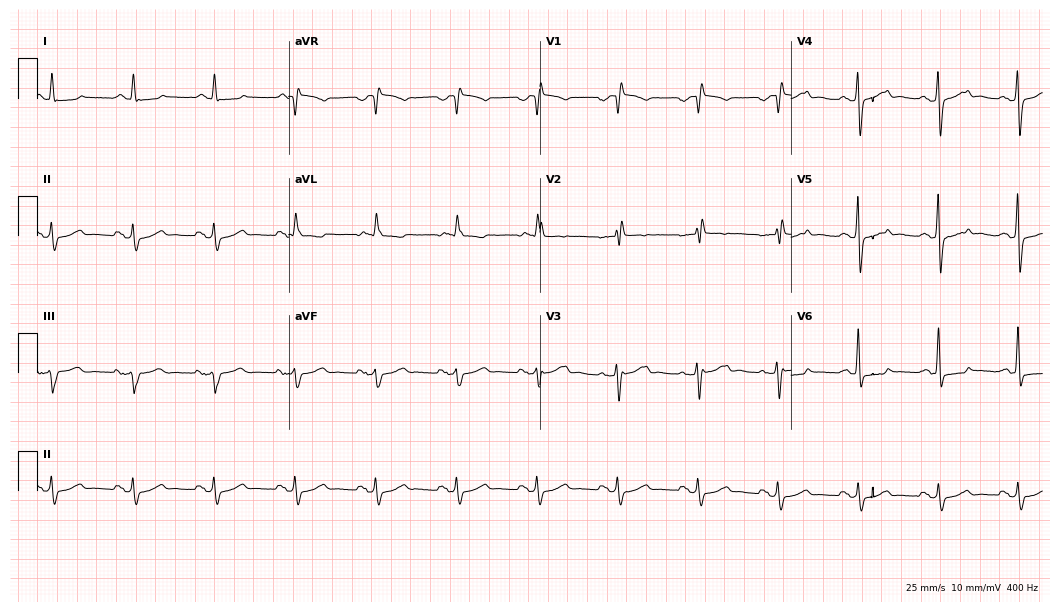
12-lead ECG from an 80-year-old male patient. Screened for six findings — first-degree AV block, right bundle branch block, left bundle branch block, sinus bradycardia, atrial fibrillation, sinus tachycardia — none is recorded.